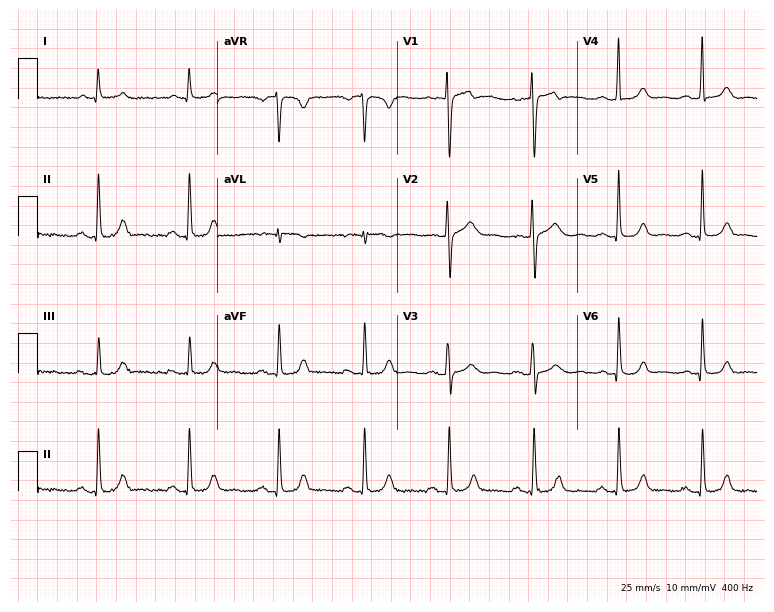
12-lead ECG from a female, 54 years old. Screened for six findings — first-degree AV block, right bundle branch block, left bundle branch block, sinus bradycardia, atrial fibrillation, sinus tachycardia — none is recorded.